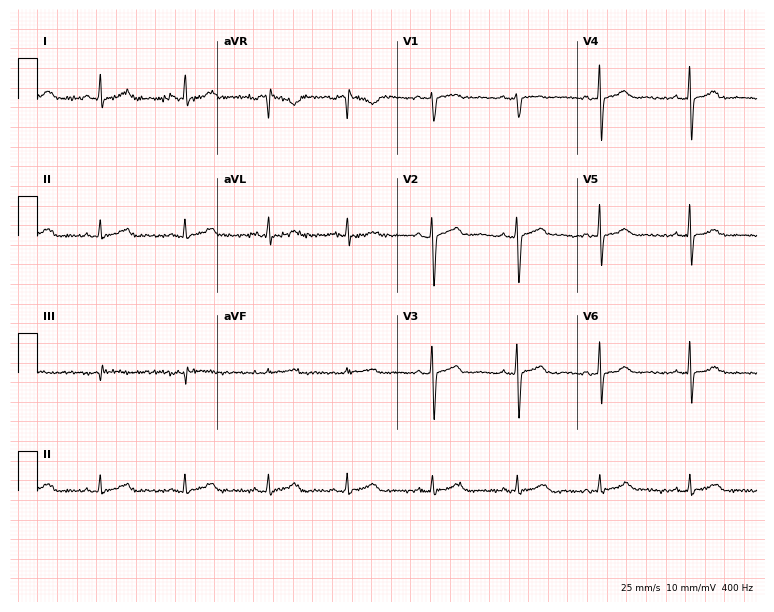
12-lead ECG from a 26-year-old female patient. Labelled as a normal ECG.